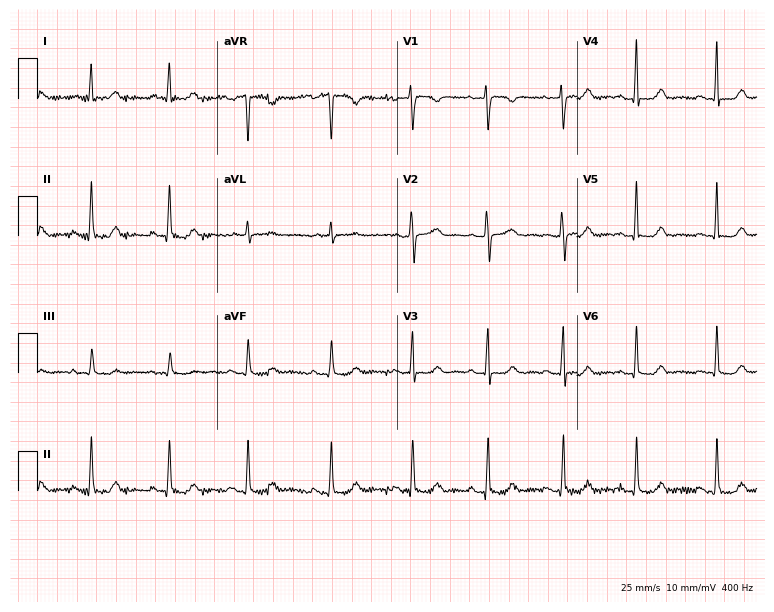
Resting 12-lead electrocardiogram (7.3-second recording at 400 Hz). Patient: a woman, 55 years old. None of these six findings is recorded: first-degree AV block, right bundle branch block, left bundle branch block, sinus bradycardia, atrial fibrillation, sinus tachycardia.